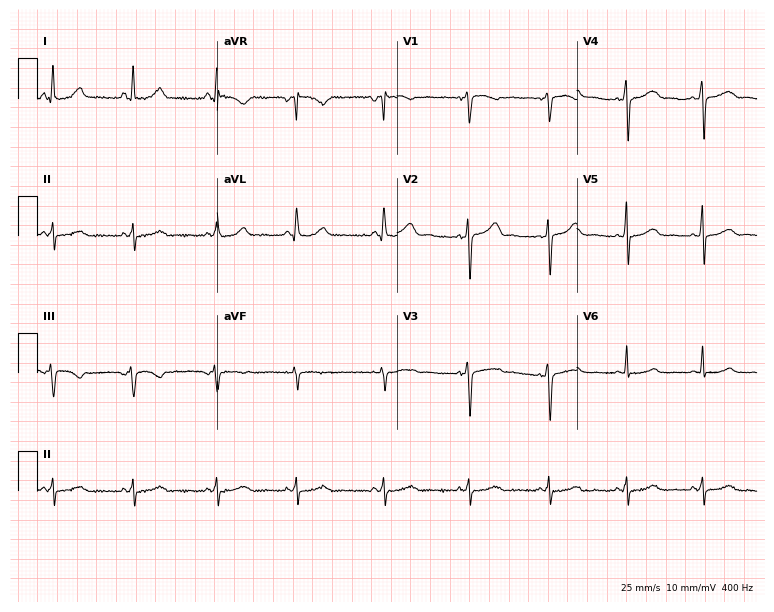
Resting 12-lead electrocardiogram (7.3-second recording at 400 Hz). Patient: a 41-year-old woman. None of these six findings is recorded: first-degree AV block, right bundle branch block (RBBB), left bundle branch block (LBBB), sinus bradycardia, atrial fibrillation (AF), sinus tachycardia. Other findings, if any, are not listed.